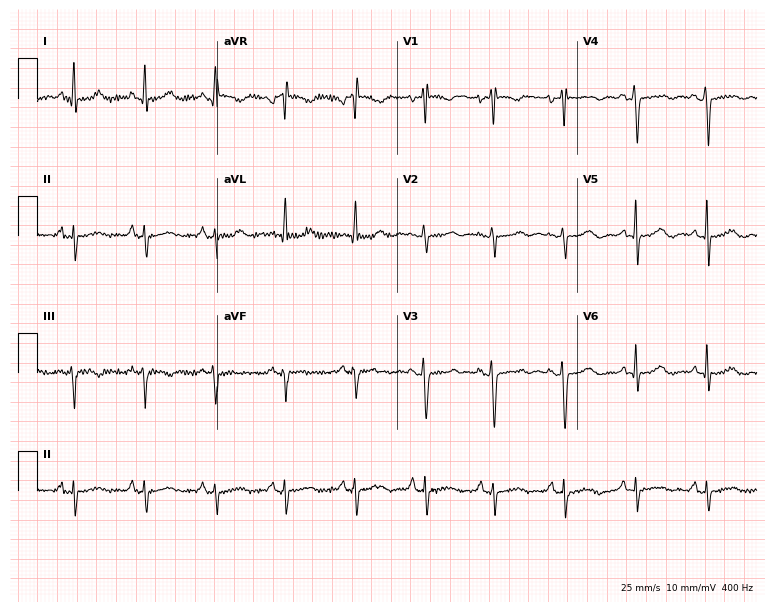
Resting 12-lead electrocardiogram (7.3-second recording at 400 Hz). Patient: a 69-year-old woman. None of these six findings is recorded: first-degree AV block, right bundle branch block, left bundle branch block, sinus bradycardia, atrial fibrillation, sinus tachycardia. Other findings, if any, are not listed.